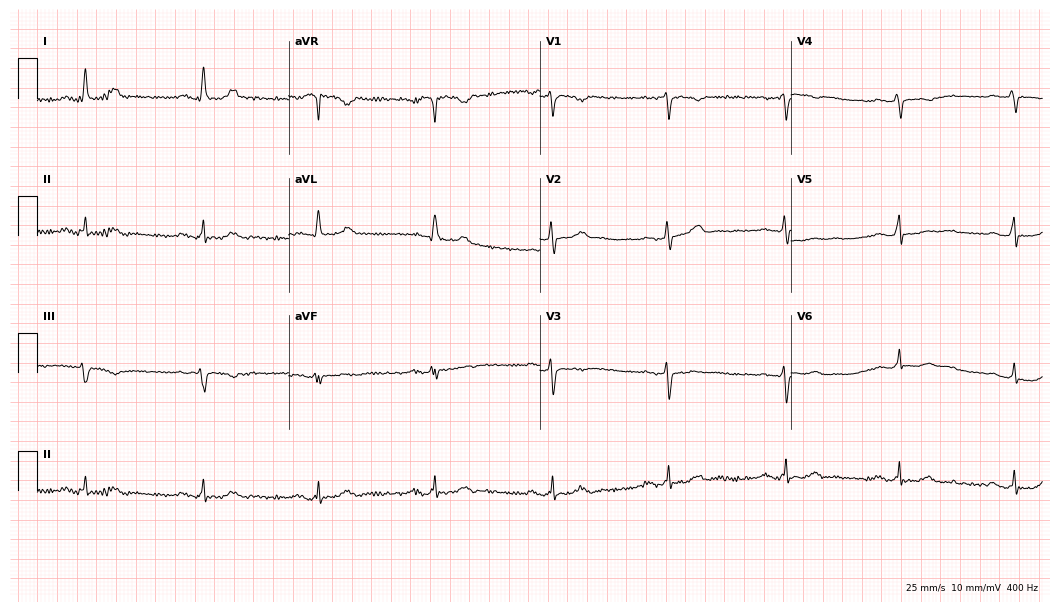
Resting 12-lead electrocardiogram. Patient: a 55-year-old woman. None of these six findings is recorded: first-degree AV block, right bundle branch block, left bundle branch block, sinus bradycardia, atrial fibrillation, sinus tachycardia. Other findings, if any, are not listed.